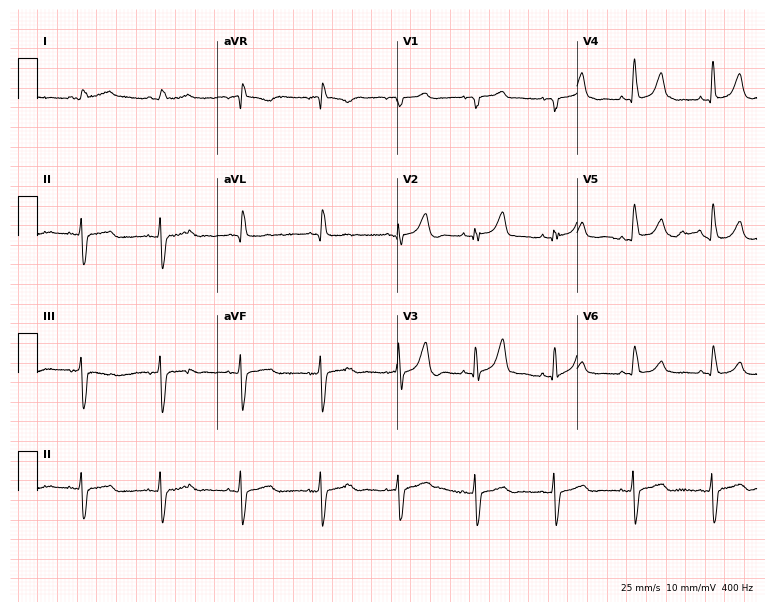
Standard 12-lead ECG recorded from a 79-year-old man. None of these six findings is recorded: first-degree AV block, right bundle branch block, left bundle branch block, sinus bradycardia, atrial fibrillation, sinus tachycardia. Other findings, if any, are not listed.